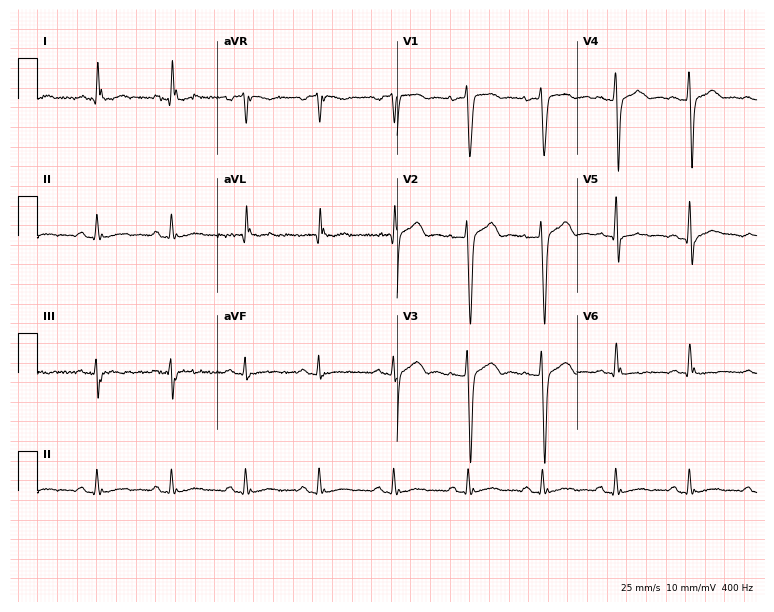
Resting 12-lead electrocardiogram (7.3-second recording at 400 Hz). Patient: a woman, 33 years old. None of these six findings is recorded: first-degree AV block, right bundle branch block, left bundle branch block, sinus bradycardia, atrial fibrillation, sinus tachycardia.